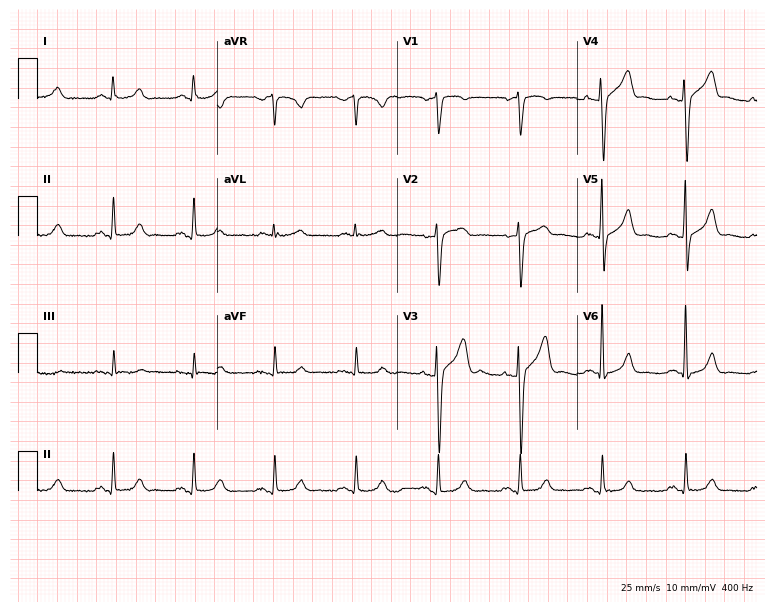
ECG (7.3-second recording at 400 Hz) — a man, 71 years old. Screened for six findings — first-degree AV block, right bundle branch block (RBBB), left bundle branch block (LBBB), sinus bradycardia, atrial fibrillation (AF), sinus tachycardia — none is recorded. Other findings, if any, are not listed.